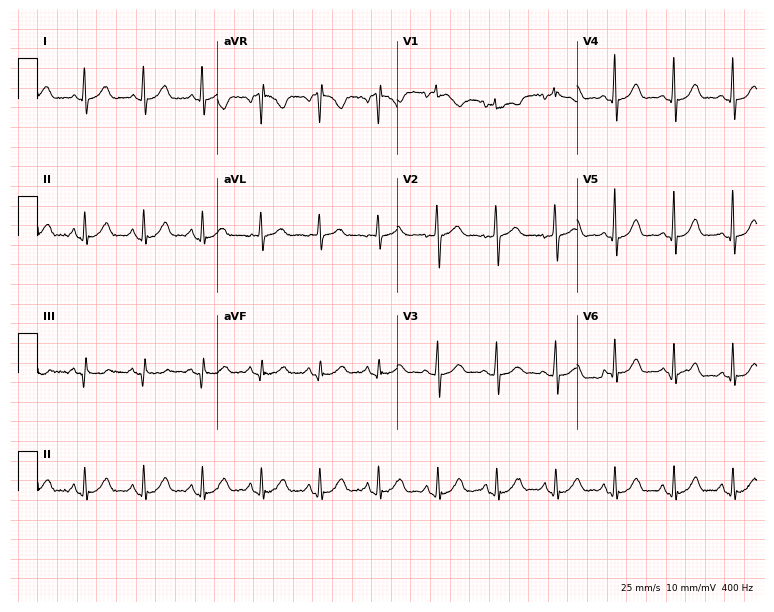
Electrocardiogram, a female patient, 72 years old. Of the six screened findings (first-degree AV block, right bundle branch block, left bundle branch block, sinus bradycardia, atrial fibrillation, sinus tachycardia), none is recorded.